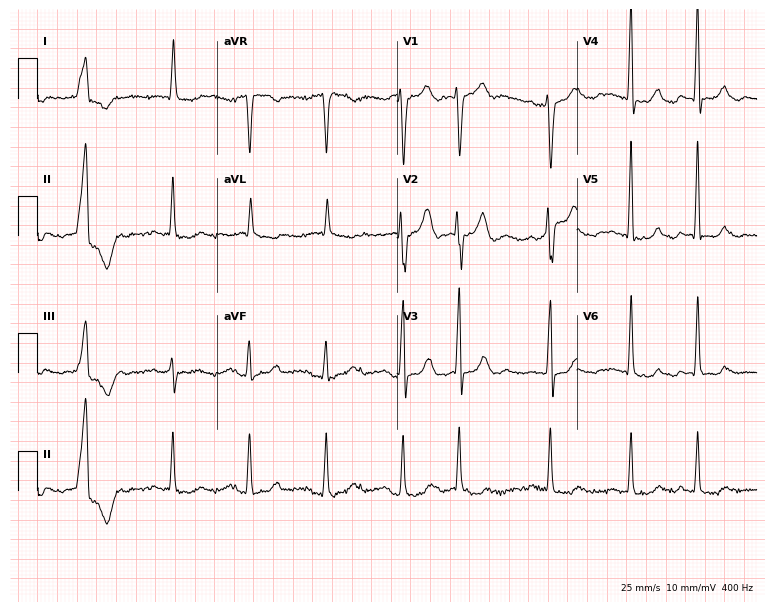
Resting 12-lead electrocardiogram (7.3-second recording at 400 Hz). Patient: an 84-year-old male. The tracing shows atrial fibrillation.